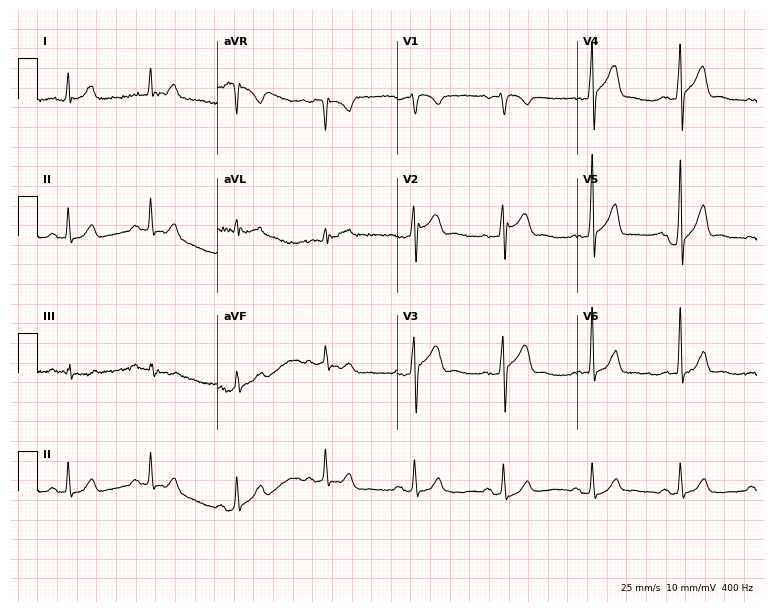
Standard 12-lead ECG recorded from a male patient, 44 years old (7.3-second recording at 400 Hz). Read as a normal ECG.